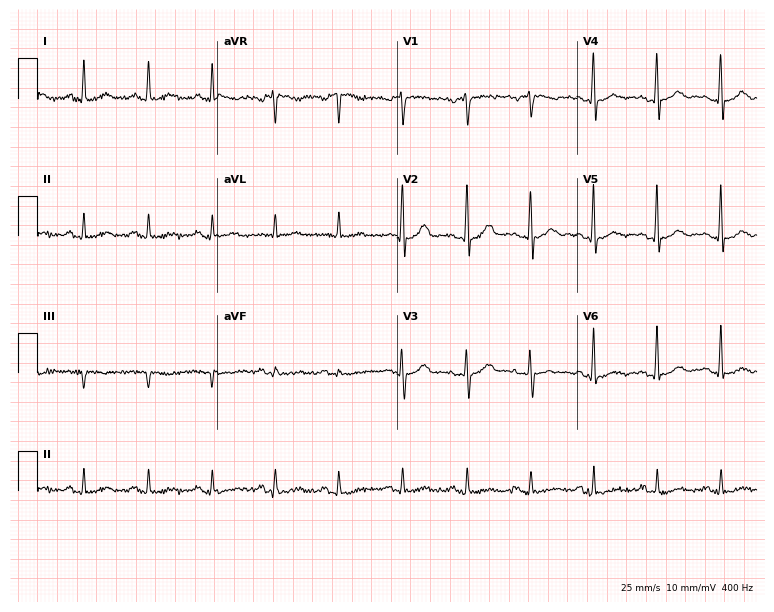
Electrocardiogram, a 65-year-old man. Of the six screened findings (first-degree AV block, right bundle branch block, left bundle branch block, sinus bradycardia, atrial fibrillation, sinus tachycardia), none is recorded. Only these six findings were labelled.